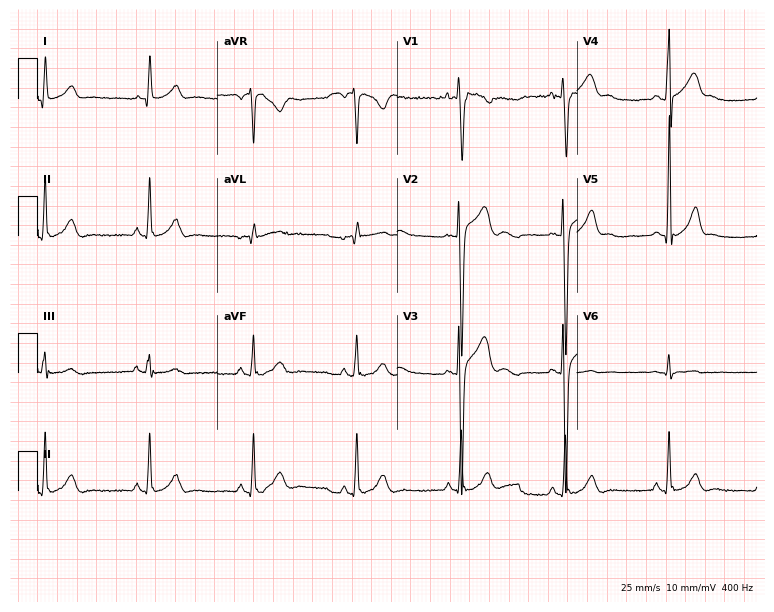
Electrocardiogram, a man, 21 years old. Overall reading on record: normal ECG.